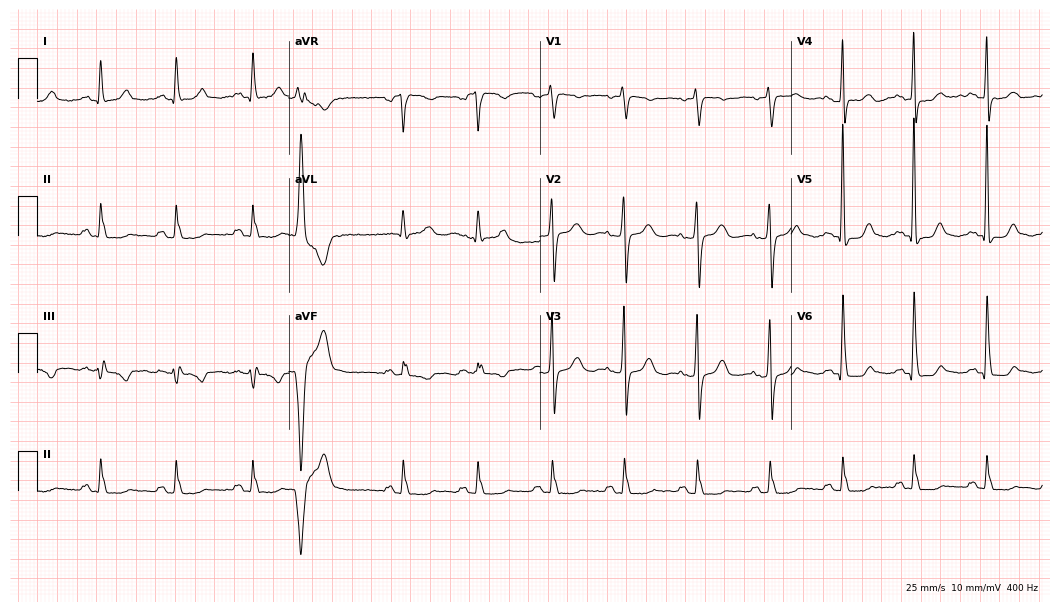
ECG (10.2-second recording at 400 Hz) — a female, 83 years old. Screened for six findings — first-degree AV block, right bundle branch block, left bundle branch block, sinus bradycardia, atrial fibrillation, sinus tachycardia — none is recorded.